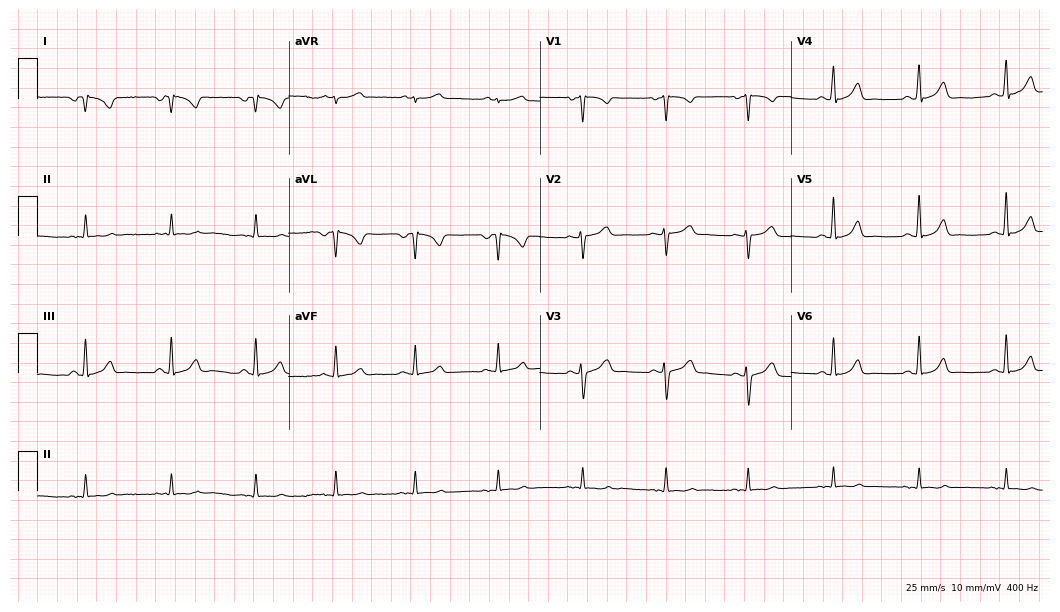
Resting 12-lead electrocardiogram (10.2-second recording at 400 Hz). Patient: a female, 33 years old. None of these six findings is recorded: first-degree AV block, right bundle branch block, left bundle branch block, sinus bradycardia, atrial fibrillation, sinus tachycardia.